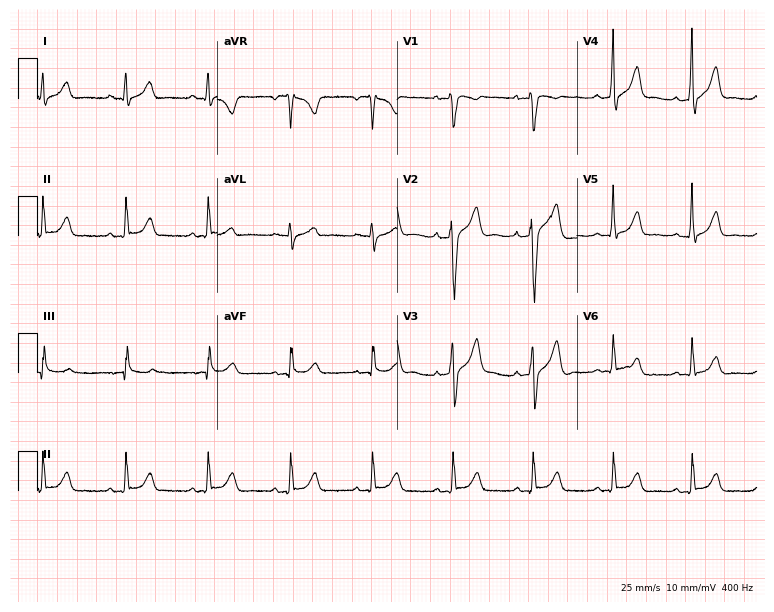
Standard 12-lead ECG recorded from a 55-year-old man. Read as a normal ECG.